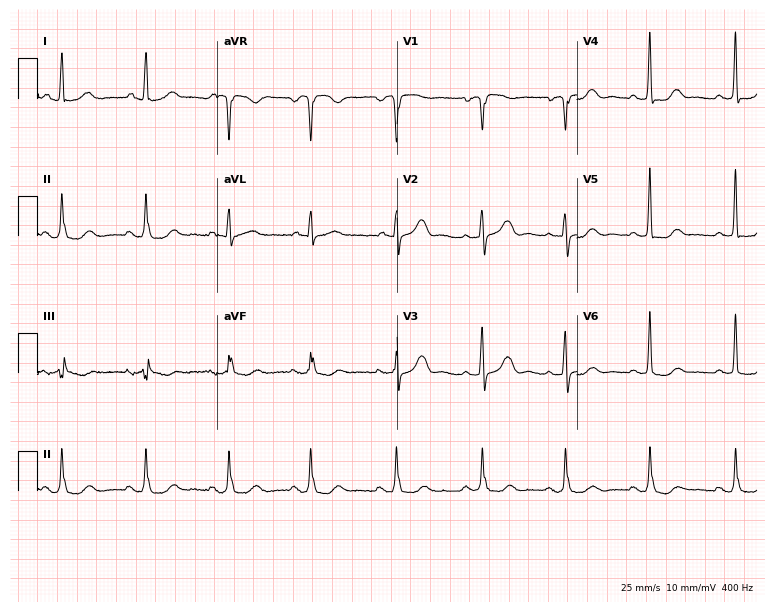
Electrocardiogram (7.3-second recording at 400 Hz), an 83-year-old woman. Overall reading on record: normal ECG.